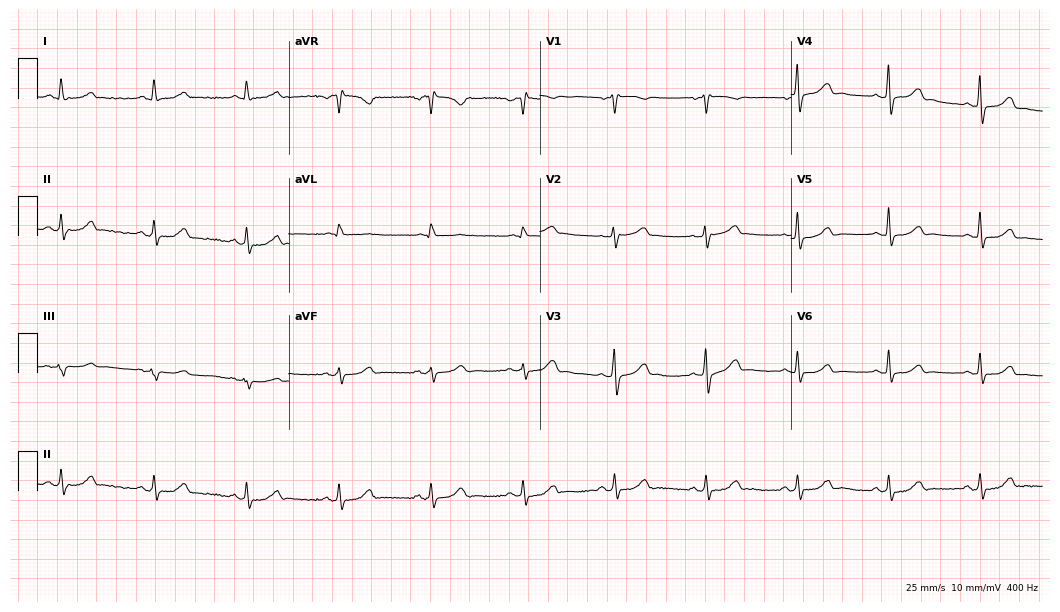
Electrocardiogram (10.2-second recording at 400 Hz), a 68-year-old man. Overall reading on record: normal ECG.